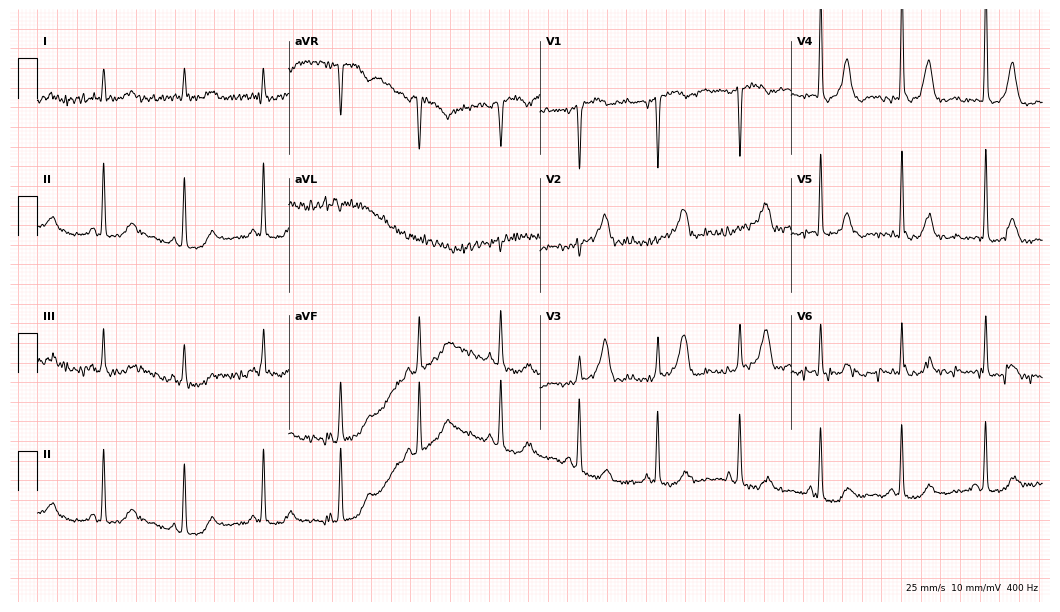
12-lead ECG from an 83-year-old woman. No first-degree AV block, right bundle branch block, left bundle branch block, sinus bradycardia, atrial fibrillation or sinus tachycardia recorded for this tracing. Findings outside these six are not listed.